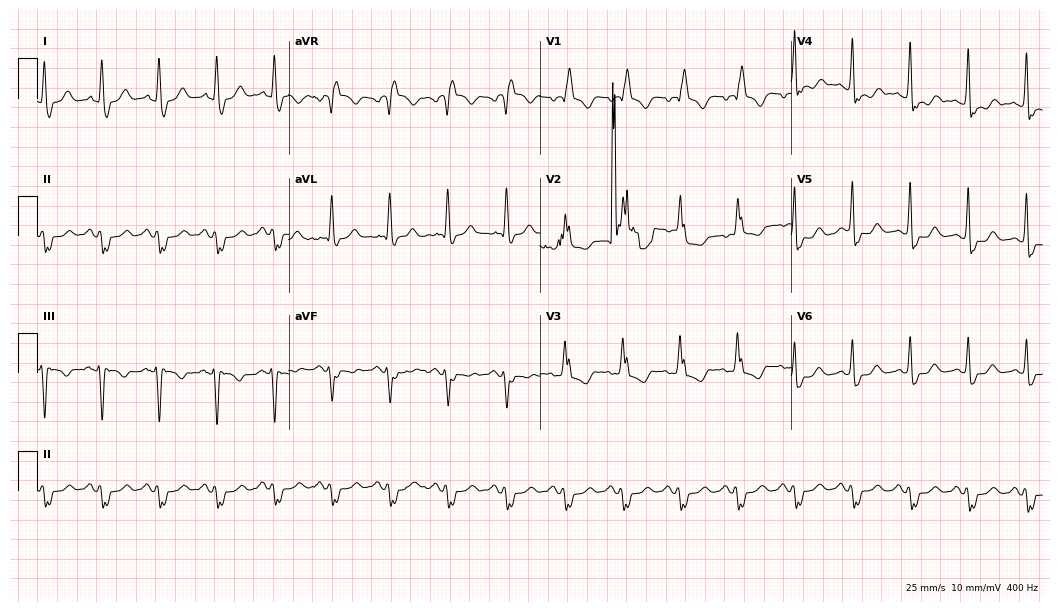
12-lead ECG from a 71-year-old female (10.2-second recording at 400 Hz). Shows right bundle branch block (RBBB).